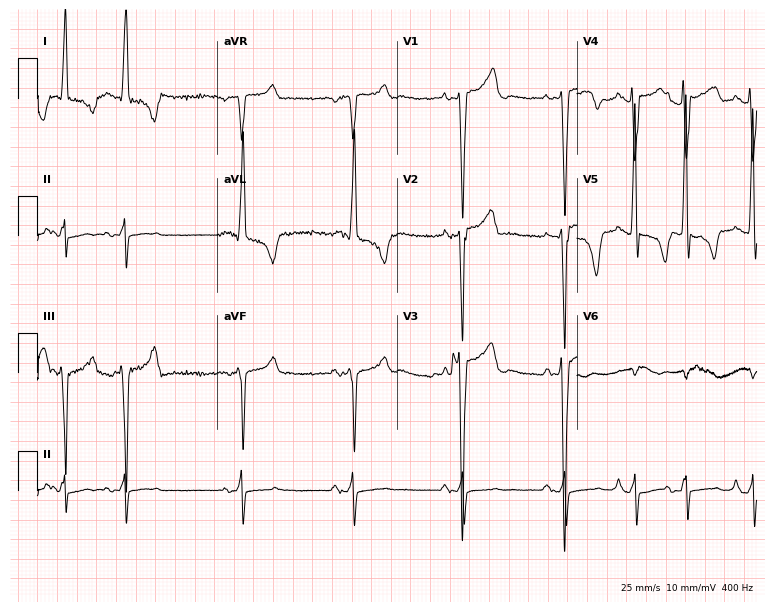
Resting 12-lead electrocardiogram. Patient: a male, 57 years old. None of these six findings is recorded: first-degree AV block, right bundle branch block, left bundle branch block, sinus bradycardia, atrial fibrillation, sinus tachycardia. Other findings, if any, are not listed.